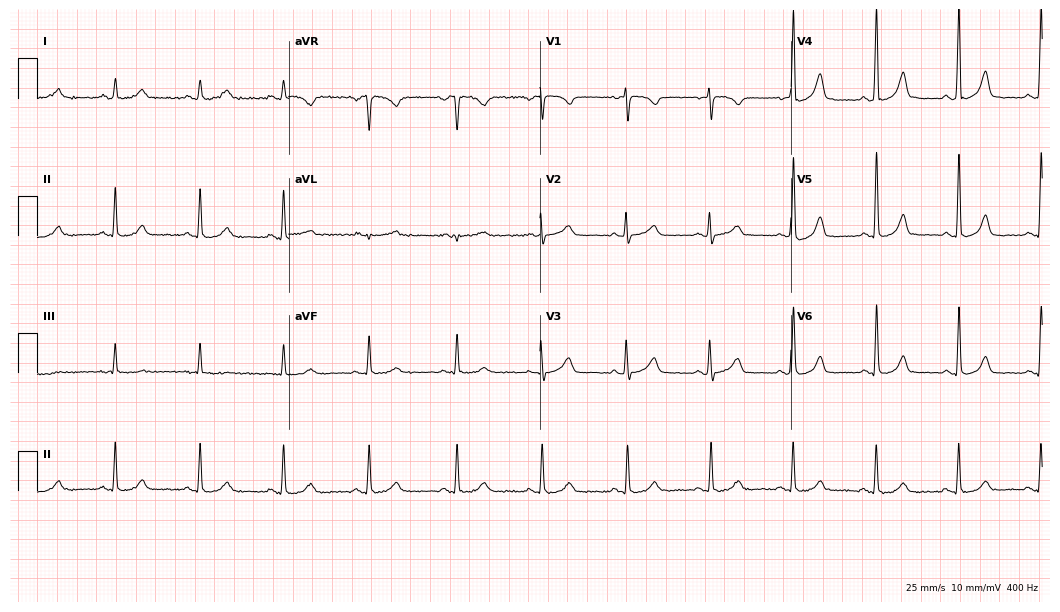
12-lead ECG from a woman, 49 years old (10.2-second recording at 400 Hz). No first-degree AV block, right bundle branch block, left bundle branch block, sinus bradycardia, atrial fibrillation or sinus tachycardia recorded for this tracing. Other findings, if any, are not listed.